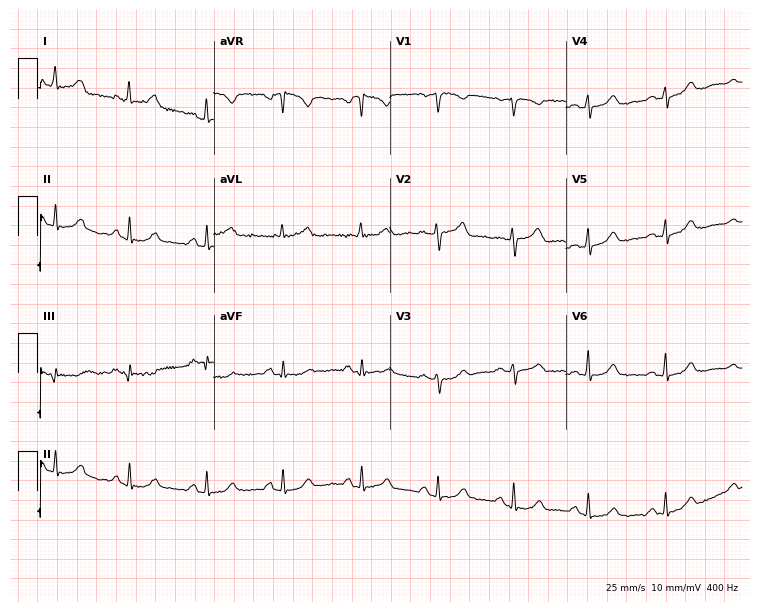
Standard 12-lead ECG recorded from a female patient, 54 years old (7.2-second recording at 400 Hz). Read as a normal ECG.